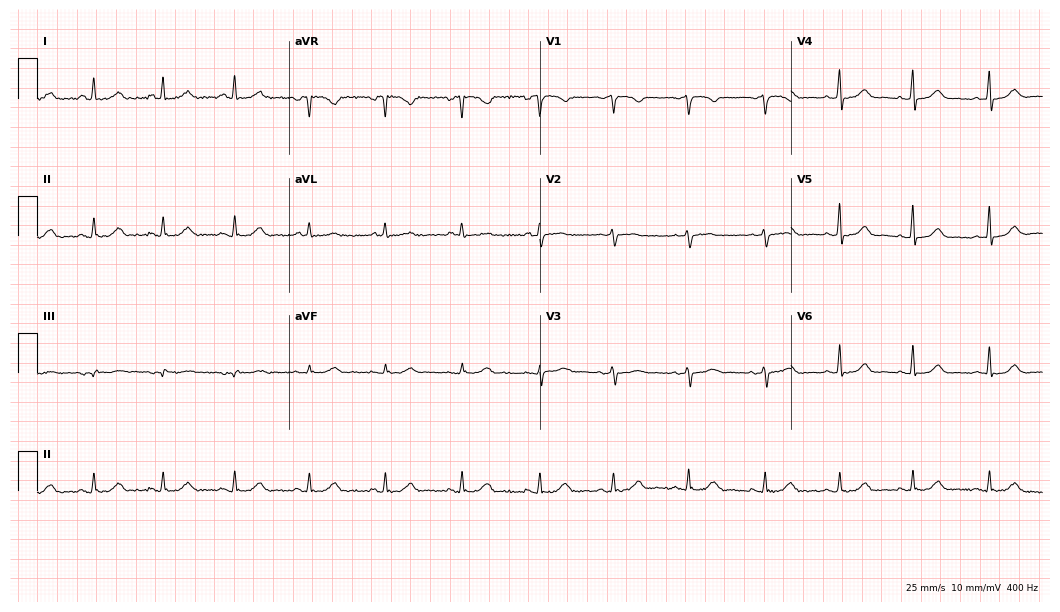
12-lead ECG from a 56-year-old female patient. Recorded interpretation: within normal limits.